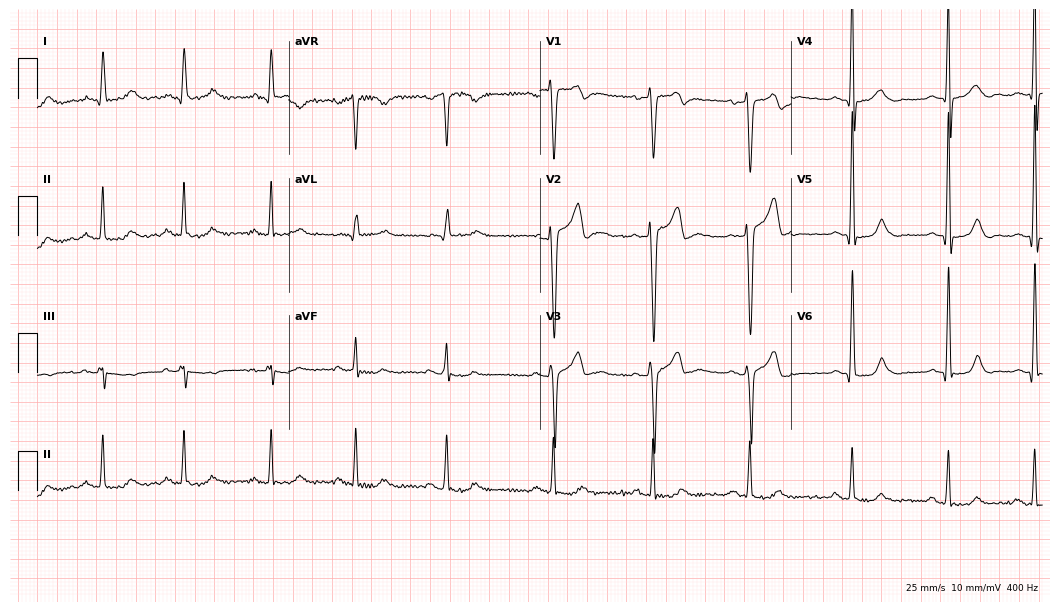
12-lead ECG from a male patient, 43 years old (10.2-second recording at 400 Hz). Recorded interpretation: within normal limits.